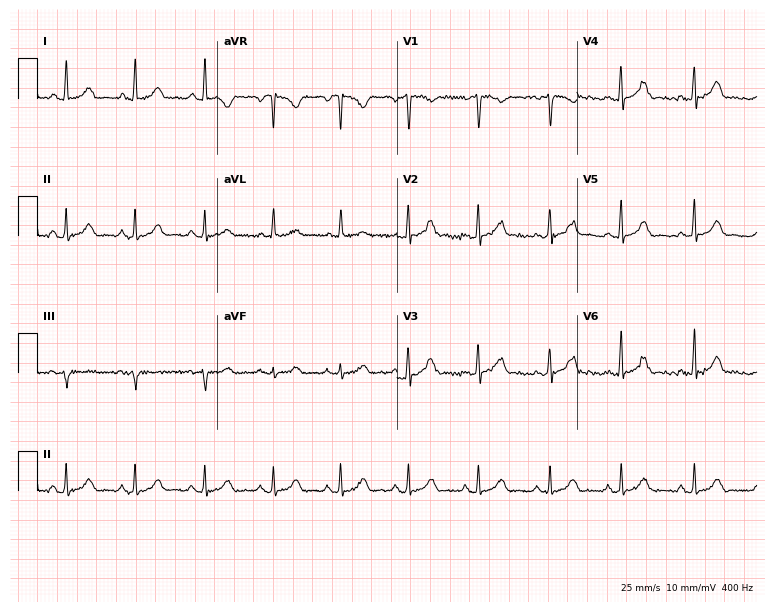
Standard 12-lead ECG recorded from a female, 32 years old. Read as a normal ECG.